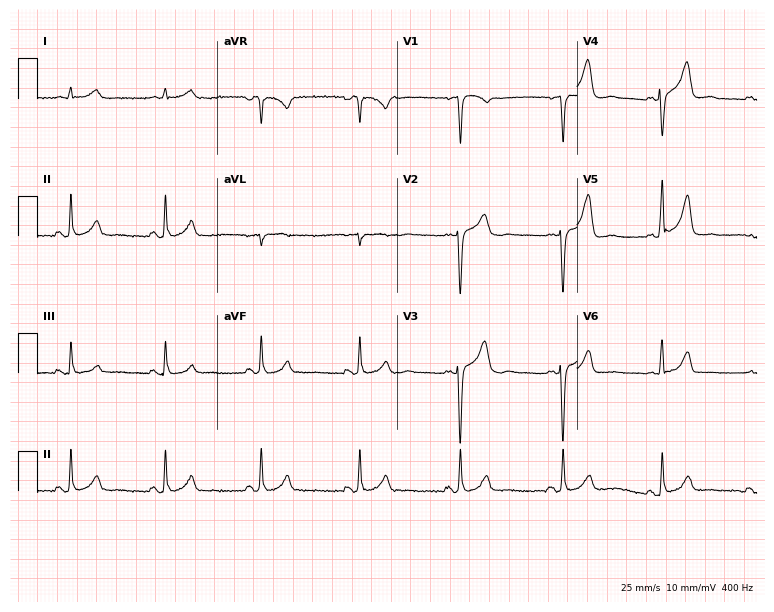
12-lead ECG (7.3-second recording at 400 Hz) from a male, 53 years old. Labelled as a normal ECG.